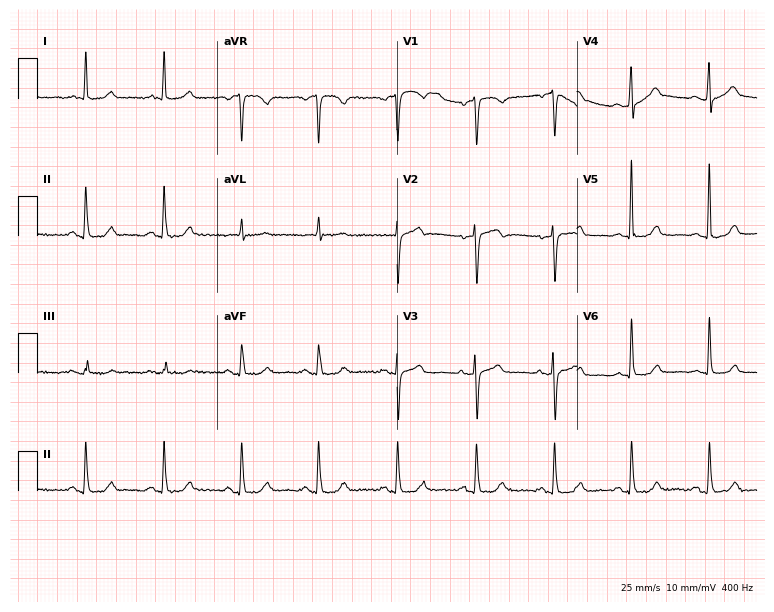
12-lead ECG from a 74-year-old female patient. Labelled as a normal ECG.